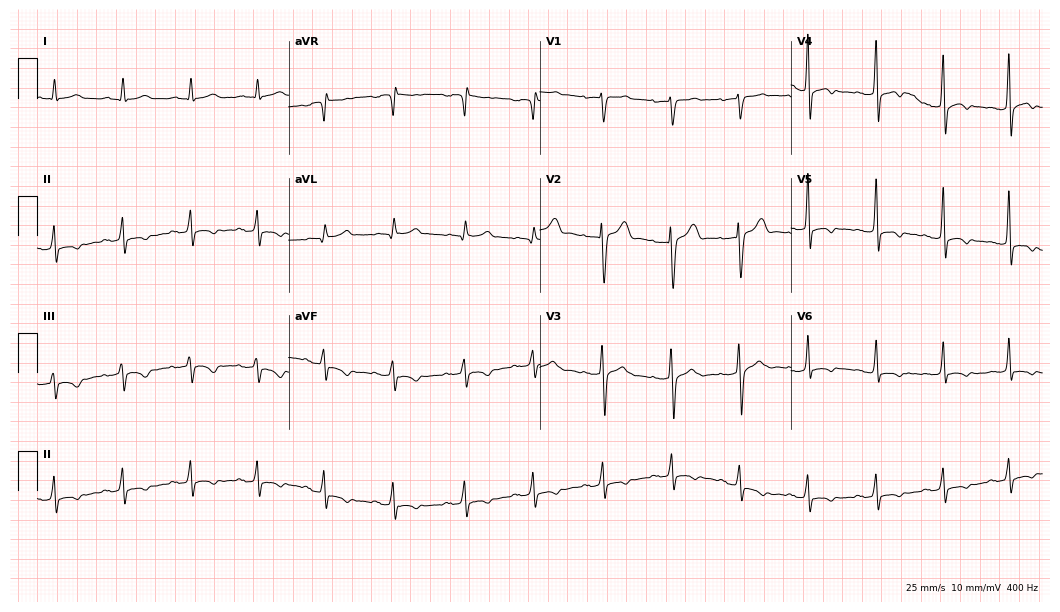
ECG — a 26-year-old male. Labelled as a normal ECG.